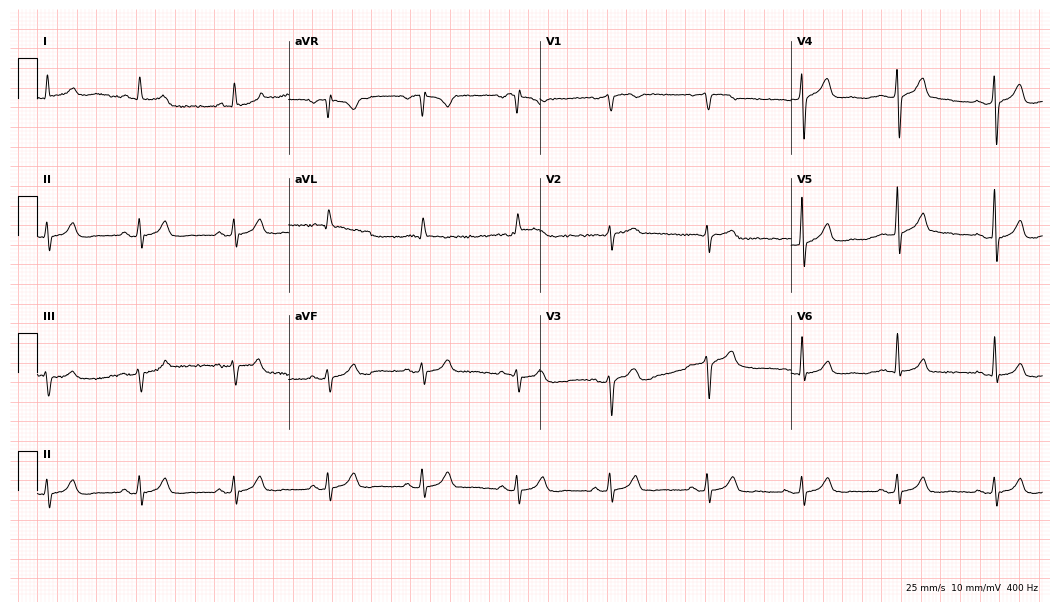
Standard 12-lead ECG recorded from a male, 57 years old (10.2-second recording at 400 Hz). Read as a normal ECG.